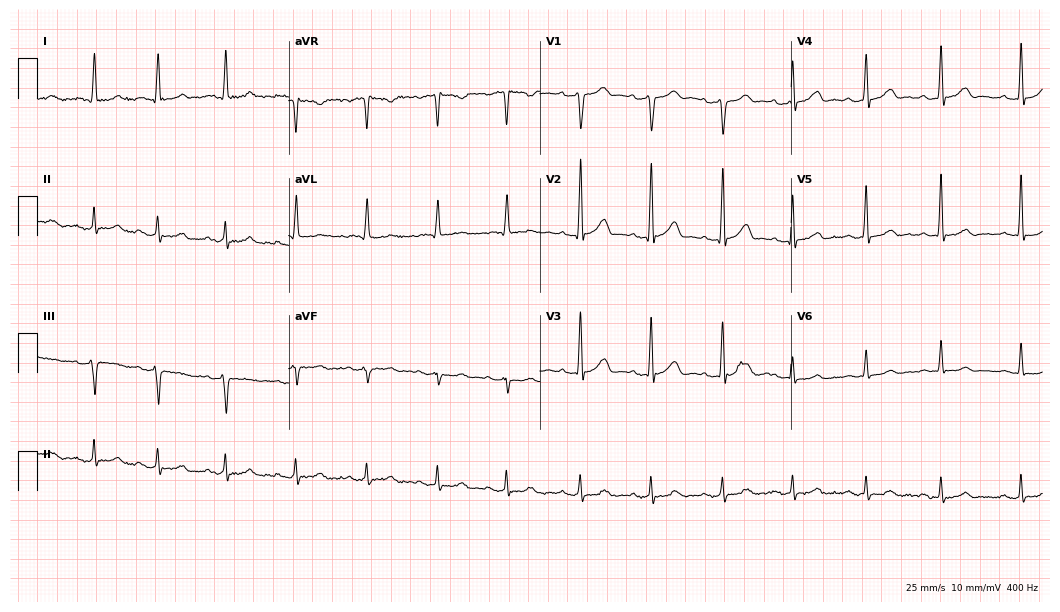
12-lead ECG from a 79-year-old man. Labelled as a normal ECG.